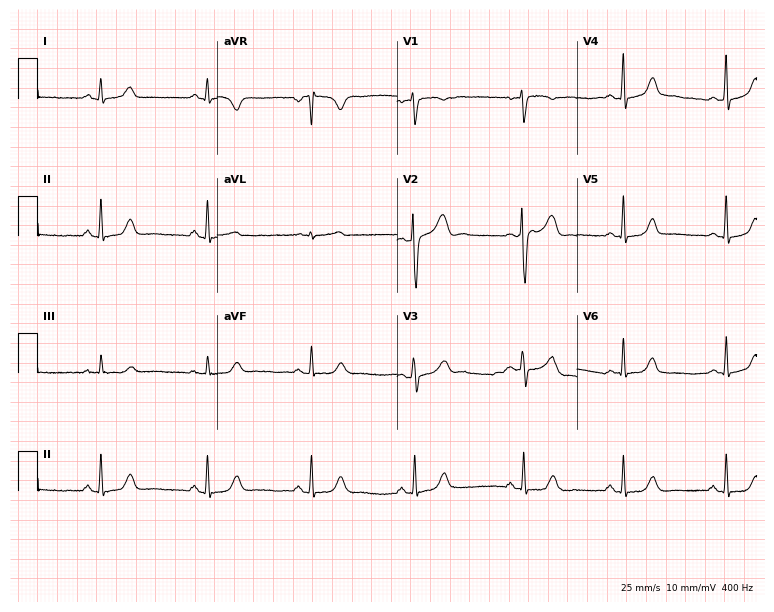
12-lead ECG (7.3-second recording at 400 Hz) from a 30-year-old female. Labelled as a normal ECG.